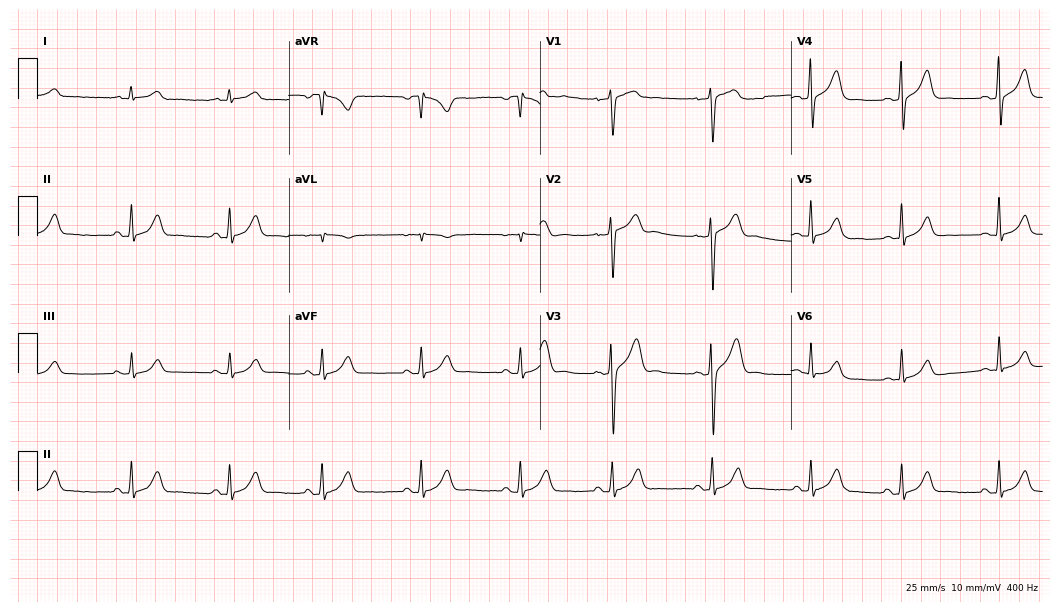
Electrocardiogram, a 27-year-old man. Of the six screened findings (first-degree AV block, right bundle branch block, left bundle branch block, sinus bradycardia, atrial fibrillation, sinus tachycardia), none is recorded. Other findings, if any, are not listed.